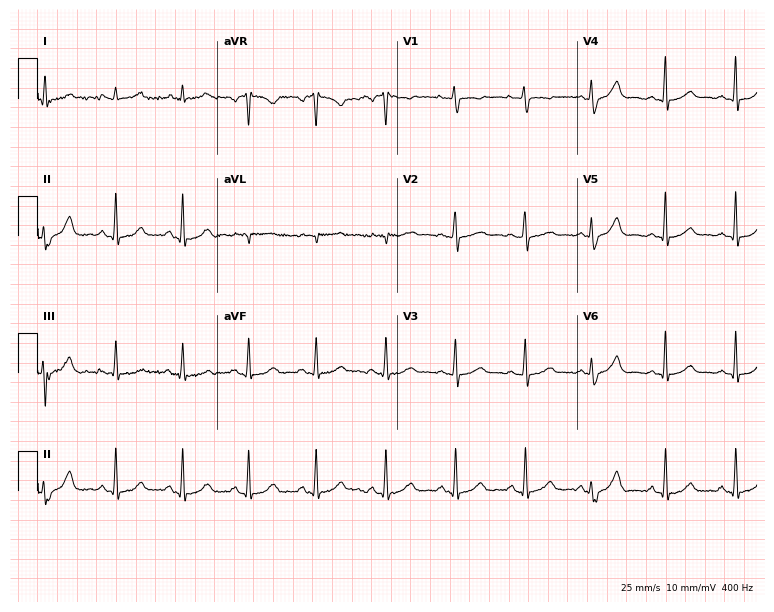
ECG — a female patient, 30 years old. Screened for six findings — first-degree AV block, right bundle branch block (RBBB), left bundle branch block (LBBB), sinus bradycardia, atrial fibrillation (AF), sinus tachycardia — none is recorded. Only these six findings were labelled.